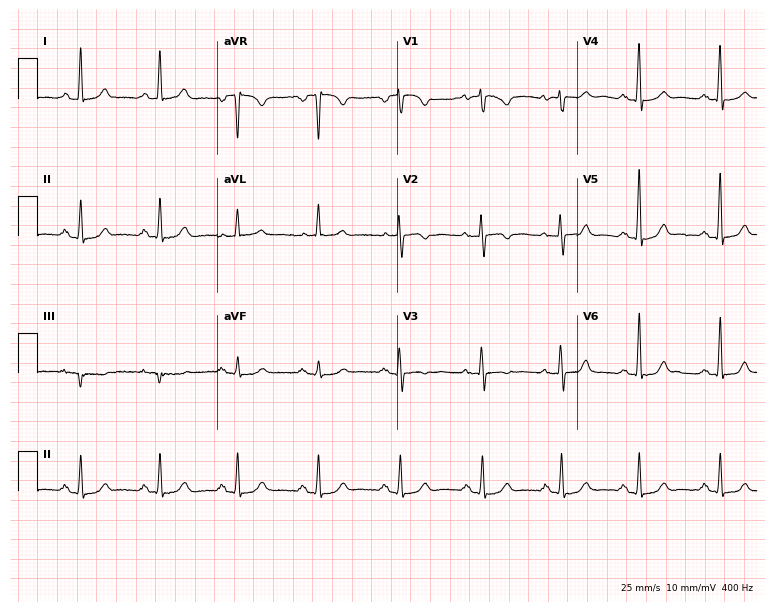
ECG (7.3-second recording at 400 Hz) — a 59-year-old female patient. Labelled as a normal ECG.